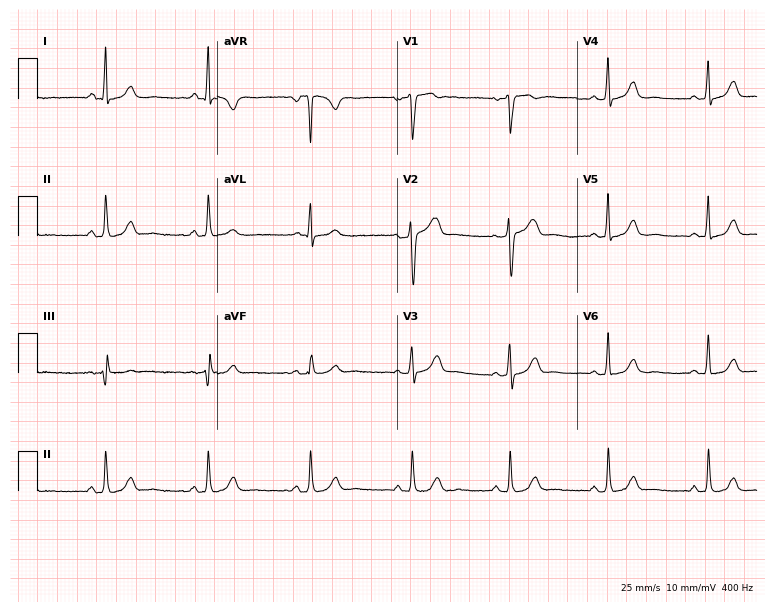
12-lead ECG from a female, 45 years old. Recorded interpretation: within normal limits.